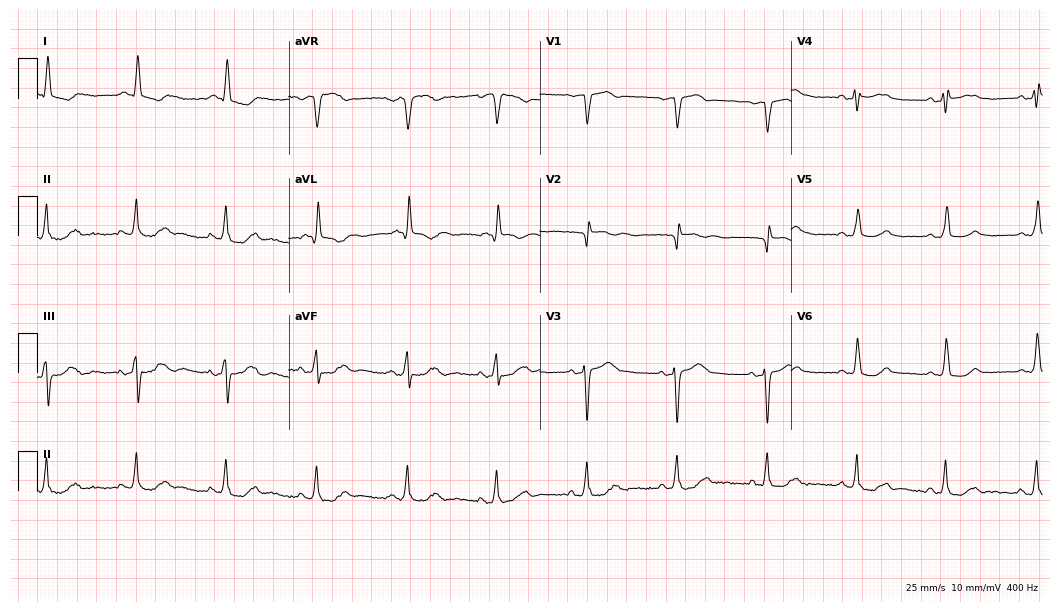
ECG (10.2-second recording at 400 Hz) — a female, 81 years old. Screened for six findings — first-degree AV block, right bundle branch block, left bundle branch block, sinus bradycardia, atrial fibrillation, sinus tachycardia — none is recorded. Only these six findings were labelled.